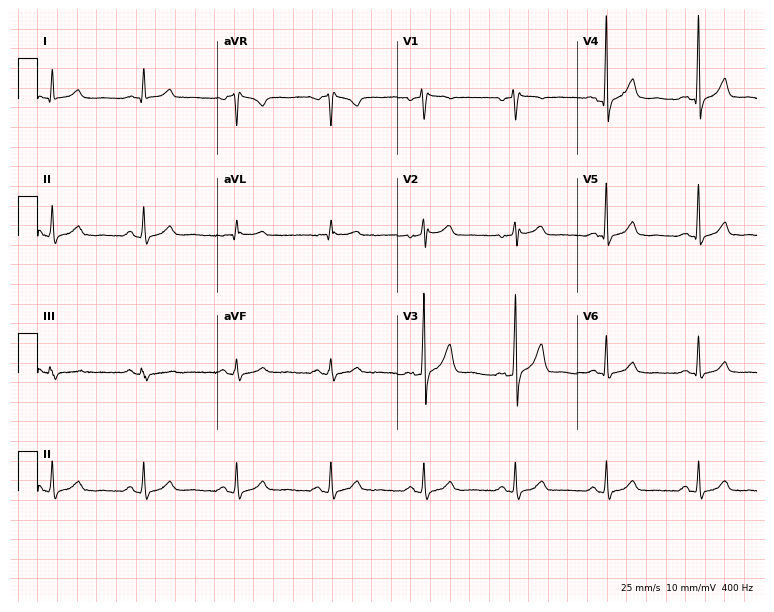
12-lead ECG from a male patient, 53 years old. Recorded interpretation: within normal limits.